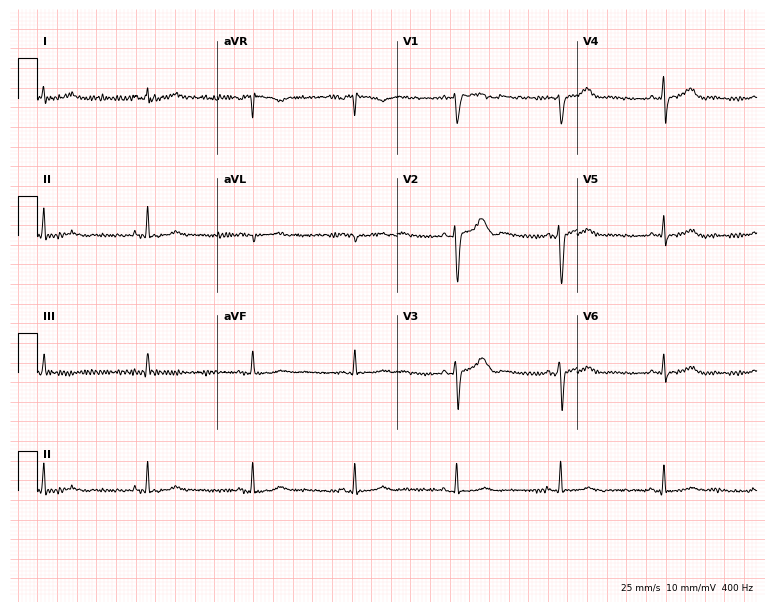
Standard 12-lead ECG recorded from a 38-year-old woman (7.3-second recording at 400 Hz). None of these six findings is recorded: first-degree AV block, right bundle branch block, left bundle branch block, sinus bradycardia, atrial fibrillation, sinus tachycardia. Other findings, if any, are not listed.